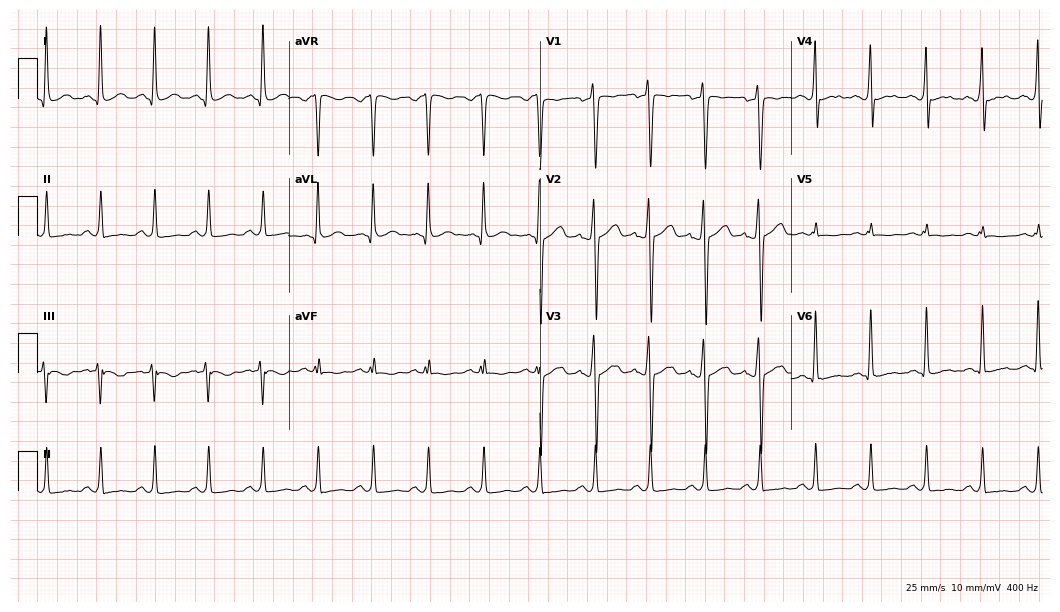
Electrocardiogram, a 33-year-old man. Of the six screened findings (first-degree AV block, right bundle branch block (RBBB), left bundle branch block (LBBB), sinus bradycardia, atrial fibrillation (AF), sinus tachycardia), none is recorded. Only these six findings were labelled.